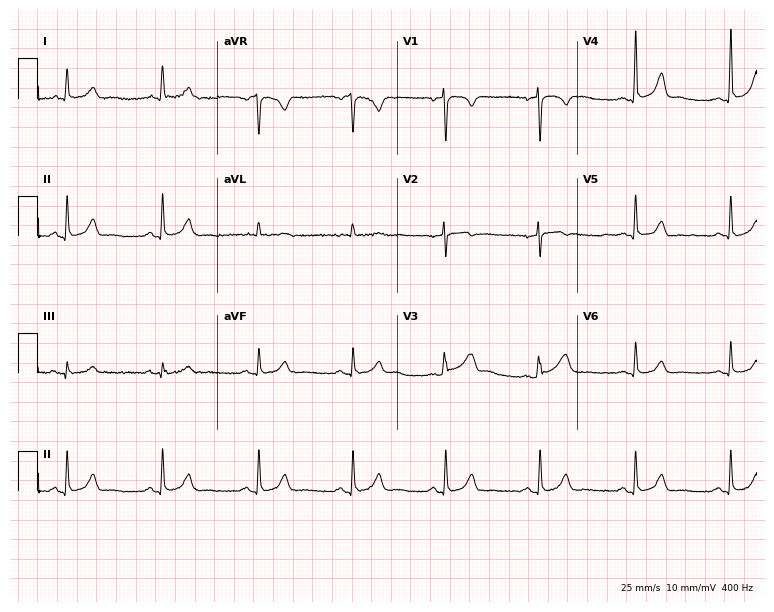
ECG (7.3-second recording at 400 Hz) — a 30-year-old female patient. Screened for six findings — first-degree AV block, right bundle branch block, left bundle branch block, sinus bradycardia, atrial fibrillation, sinus tachycardia — none is recorded. Findings outside these six are not listed.